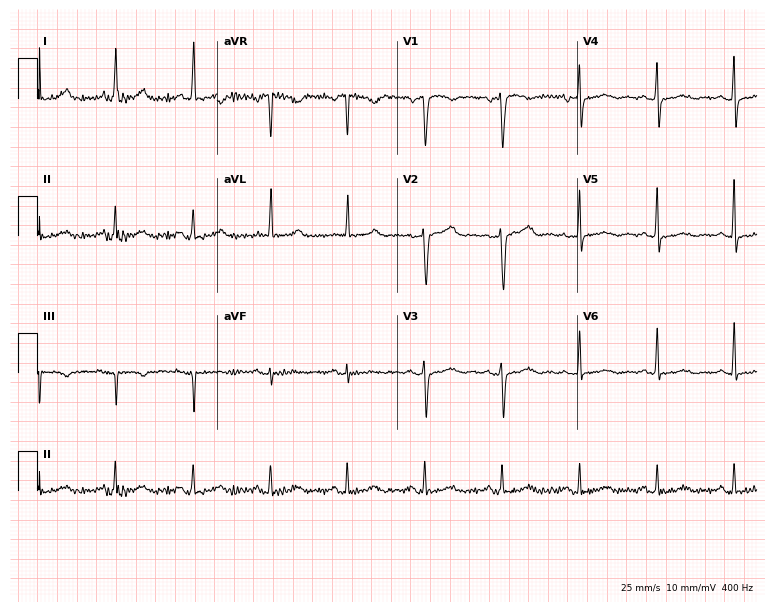
Resting 12-lead electrocardiogram (7.3-second recording at 400 Hz). Patient: a female, 70 years old. None of these six findings is recorded: first-degree AV block, right bundle branch block, left bundle branch block, sinus bradycardia, atrial fibrillation, sinus tachycardia. Only these six findings were labelled.